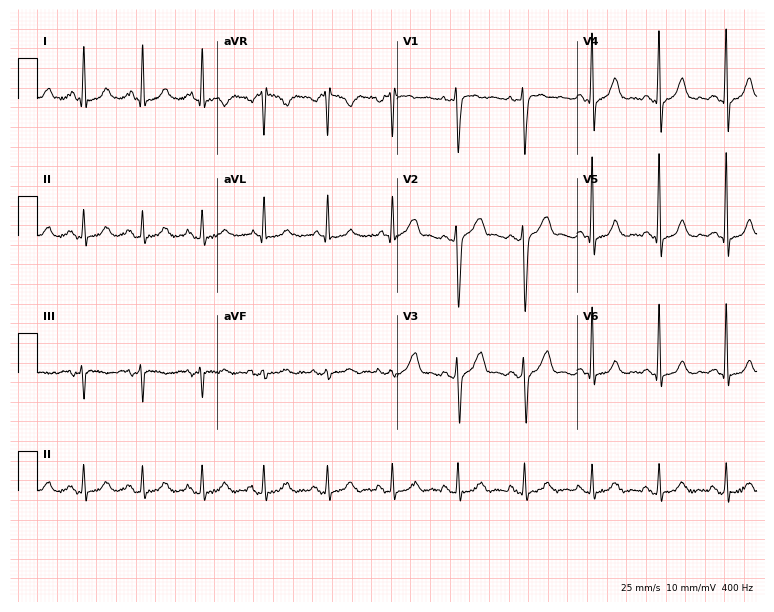
Standard 12-lead ECG recorded from a 53-year-old man (7.3-second recording at 400 Hz). Read as a normal ECG.